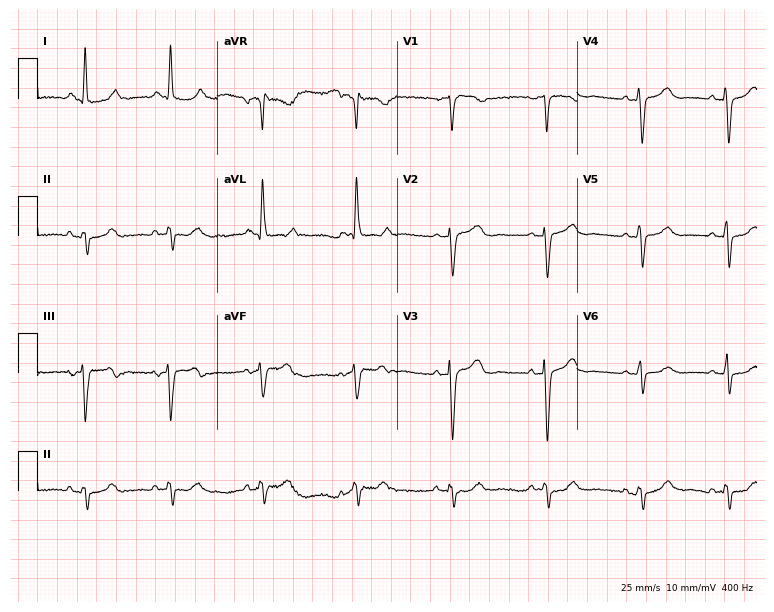
Standard 12-lead ECG recorded from a 69-year-old woman. None of these six findings is recorded: first-degree AV block, right bundle branch block, left bundle branch block, sinus bradycardia, atrial fibrillation, sinus tachycardia. Findings outside these six are not listed.